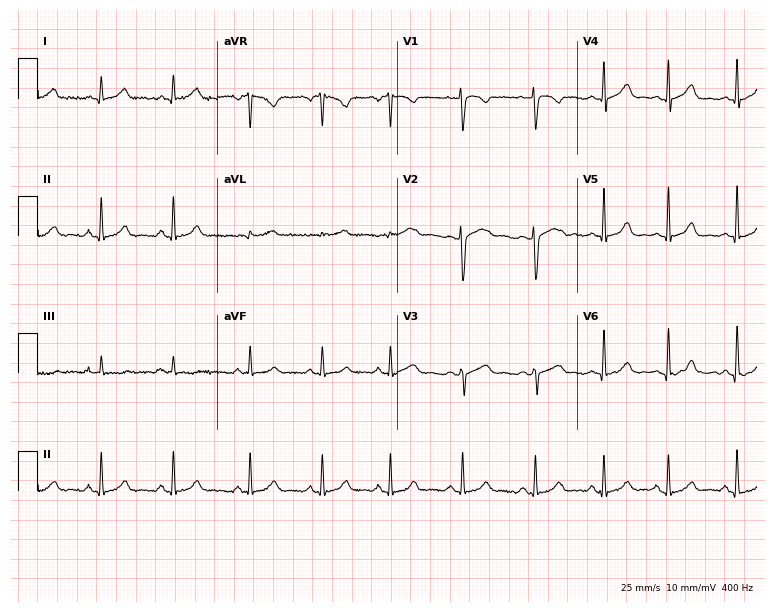
Standard 12-lead ECG recorded from a female patient, 39 years old (7.3-second recording at 400 Hz). Read as a normal ECG.